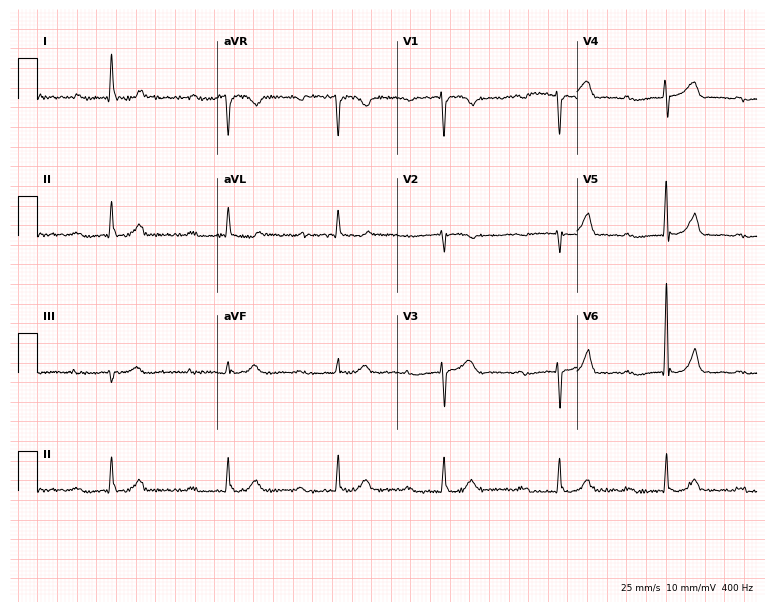
12-lead ECG from a man, 64 years old. No first-degree AV block, right bundle branch block, left bundle branch block, sinus bradycardia, atrial fibrillation or sinus tachycardia recorded for this tracing.